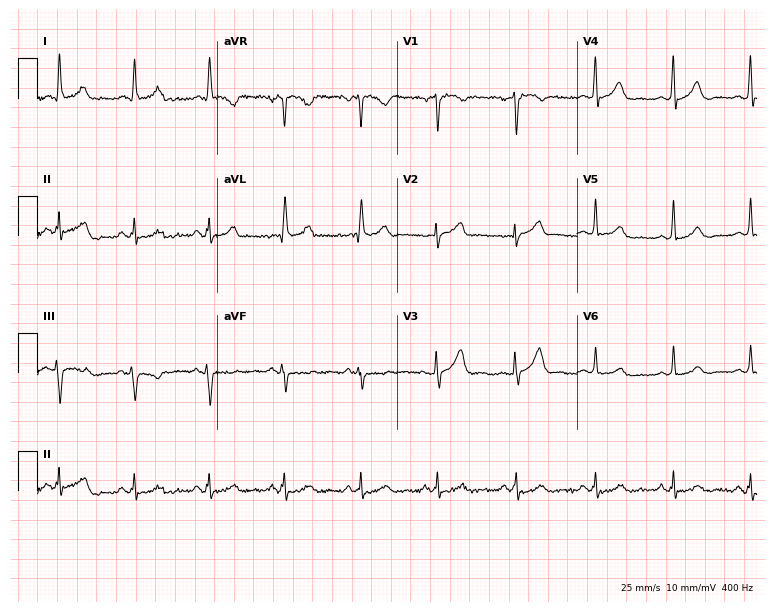
Electrocardiogram (7.3-second recording at 400 Hz), a 57-year-old man. Of the six screened findings (first-degree AV block, right bundle branch block (RBBB), left bundle branch block (LBBB), sinus bradycardia, atrial fibrillation (AF), sinus tachycardia), none is recorded.